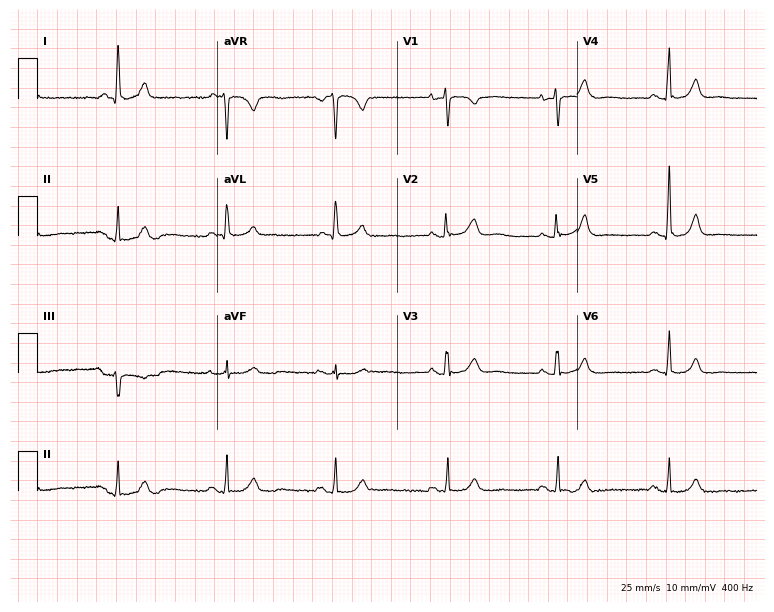
Standard 12-lead ECG recorded from a female, 68 years old (7.3-second recording at 400 Hz). Read as a normal ECG.